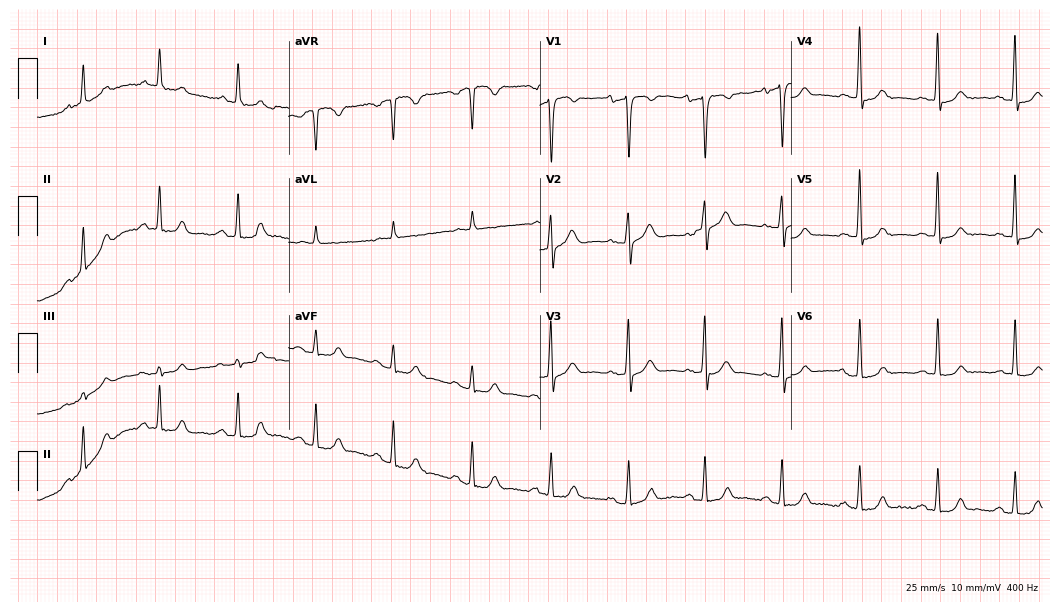
Resting 12-lead electrocardiogram (10.2-second recording at 400 Hz). Patient: a male, 60 years old. None of these six findings is recorded: first-degree AV block, right bundle branch block, left bundle branch block, sinus bradycardia, atrial fibrillation, sinus tachycardia.